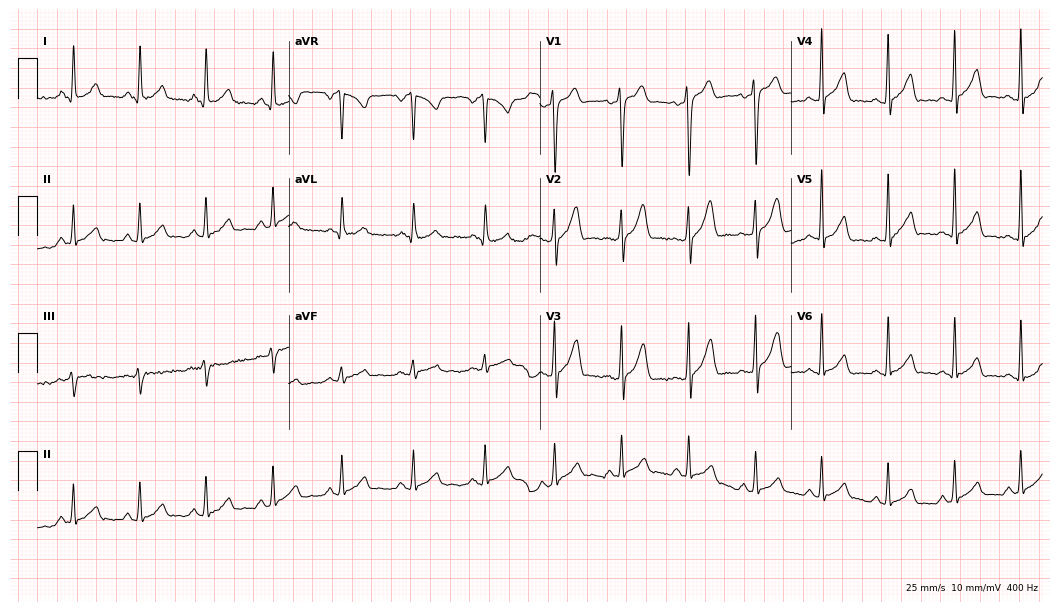
12-lead ECG from a 20-year-old male patient (10.2-second recording at 400 Hz). Recorded interpretation: within normal limits.